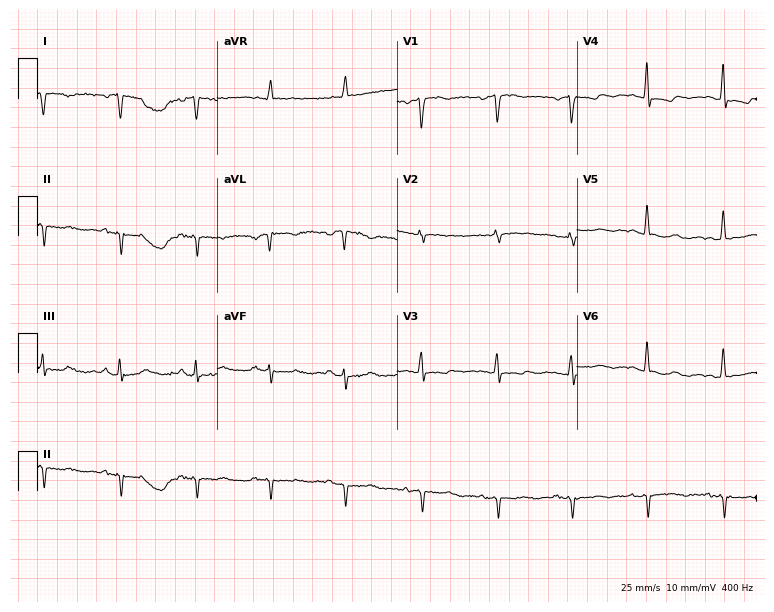
12-lead ECG from a 55-year-old female patient. No first-degree AV block, right bundle branch block, left bundle branch block, sinus bradycardia, atrial fibrillation or sinus tachycardia recorded for this tracing. Only these six findings were labelled.